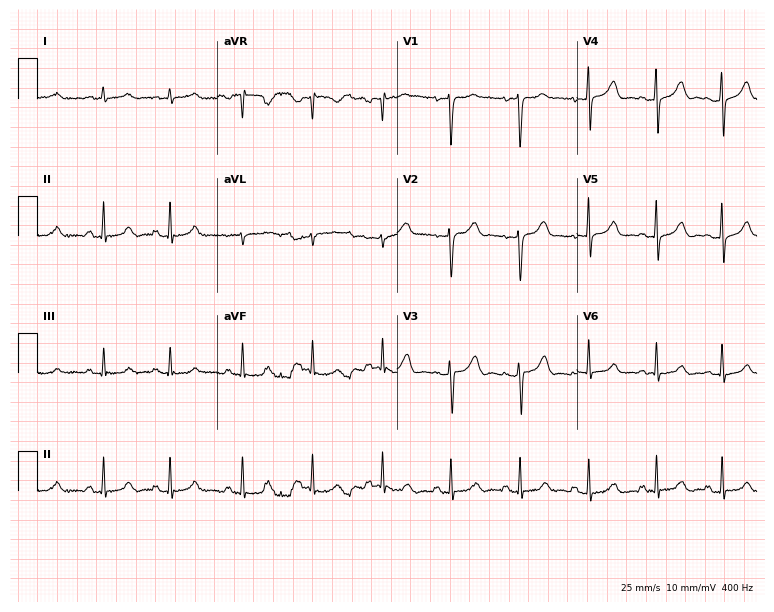
Resting 12-lead electrocardiogram (7.3-second recording at 400 Hz). Patient: a 35-year-old female. None of these six findings is recorded: first-degree AV block, right bundle branch block, left bundle branch block, sinus bradycardia, atrial fibrillation, sinus tachycardia.